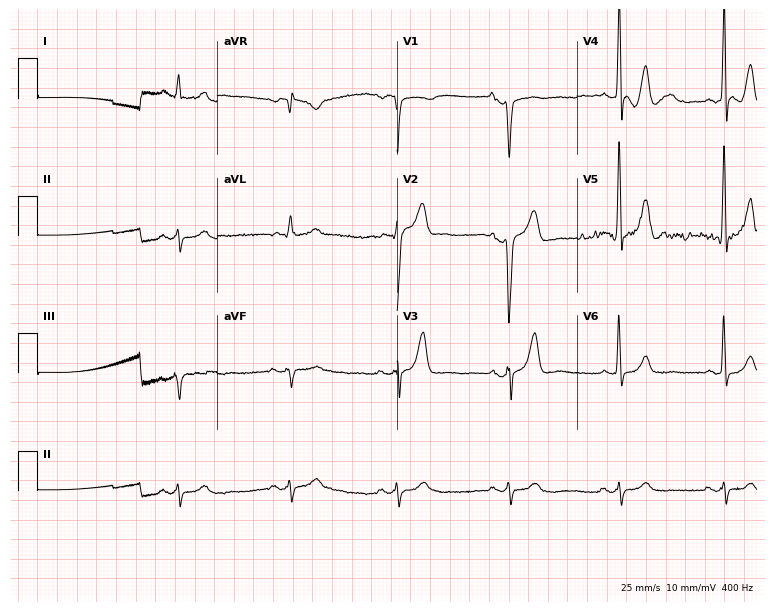
12-lead ECG from a male patient, 54 years old (7.3-second recording at 400 Hz). No first-degree AV block, right bundle branch block (RBBB), left bundle branch block (LBBB), sinus bradycardia, atrial fibrillation (AF) or sinus tachycardia recorded for this tracing. Only these six findings were labelled.